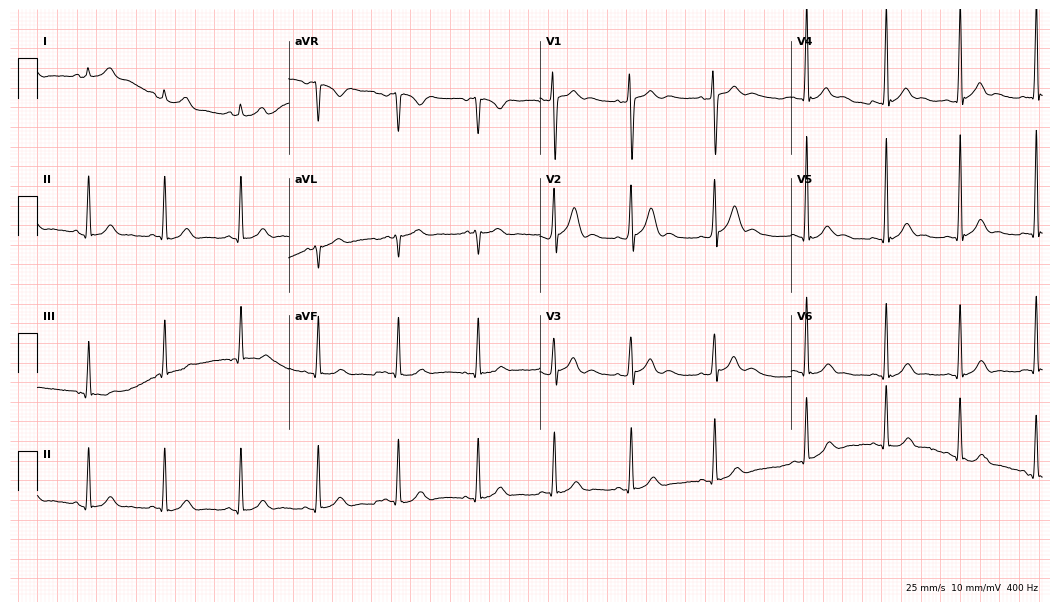
Electrocardiogram, a 19-year-old male. Overall reading on record: normal ECG.